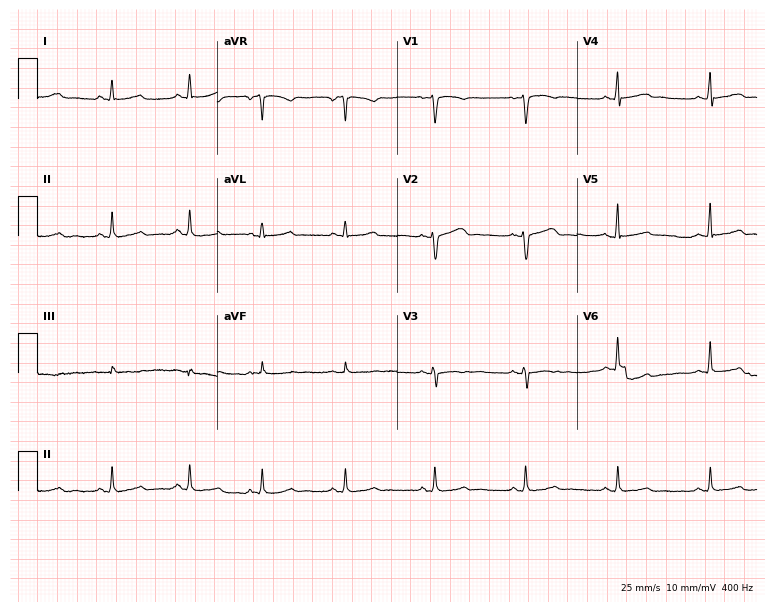
Electrocardiogram, a female patient, 35 years old. Of the six screened findings (first-degree AV block, right bundle branch block (RBBB), left bundle branch block (LBBB), sinus bradycardia, atrial fibrillation (AF), sinus tachycardia), none is recorded.